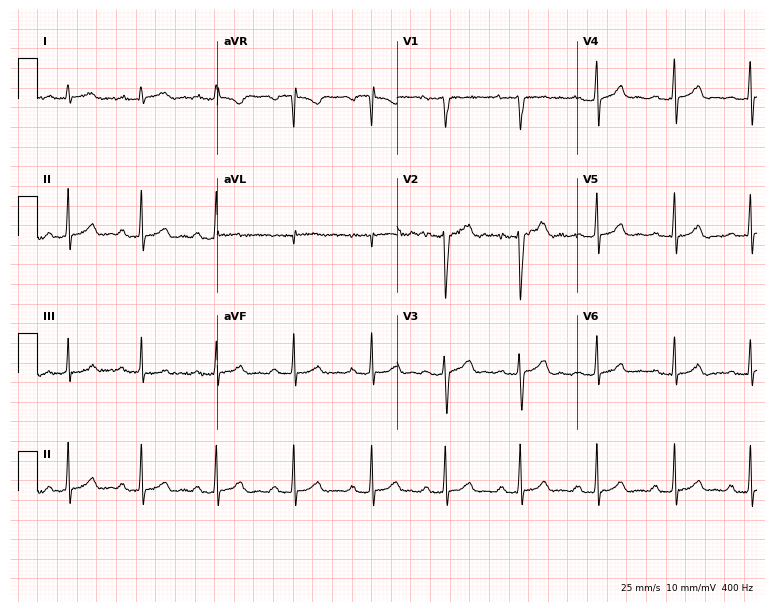
12-lead ECG from a woman, 25 years old. Recorded interpretation: within normal limits.